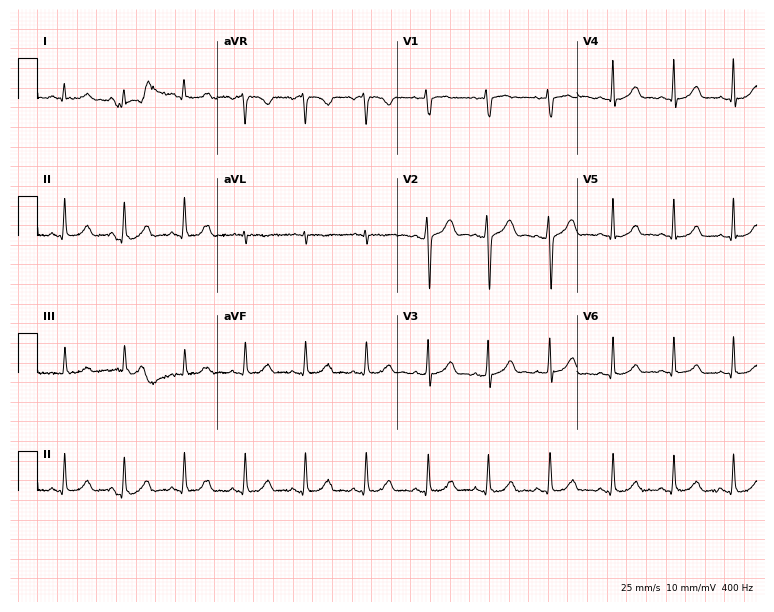
12-lead ECG (7.3-second recording at 400 Hz) from a woman, 19 years old. Labelled as a normal ECG.